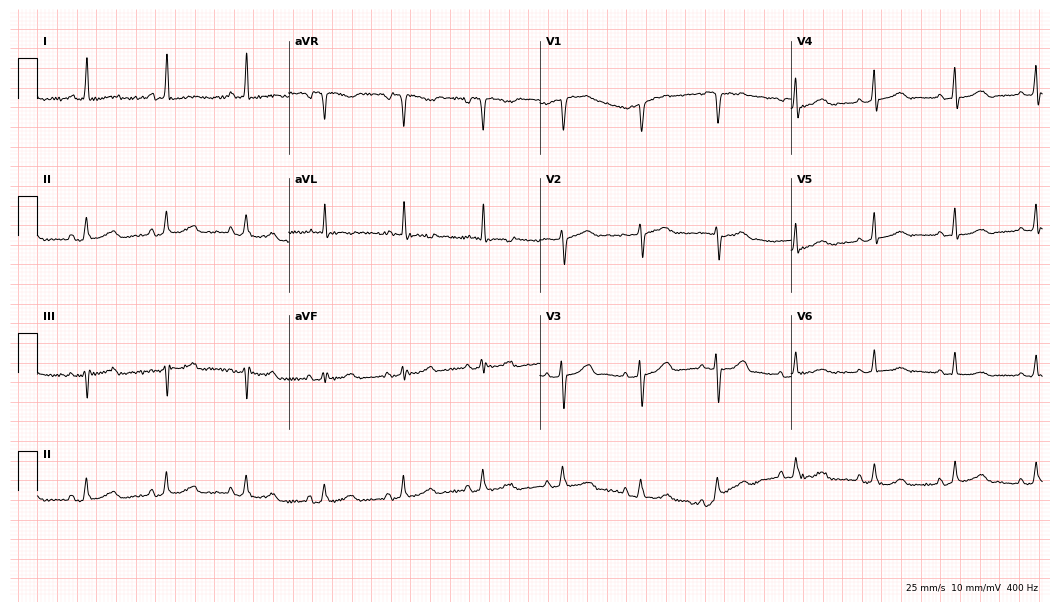
ECG — a 59-year-old woman. Screened for six findings — first-degree AV block, right bundle branch block, left bundle branch block, sinus bradycardia, atrial fibrillation, sinus tachycardia — none is recorded.